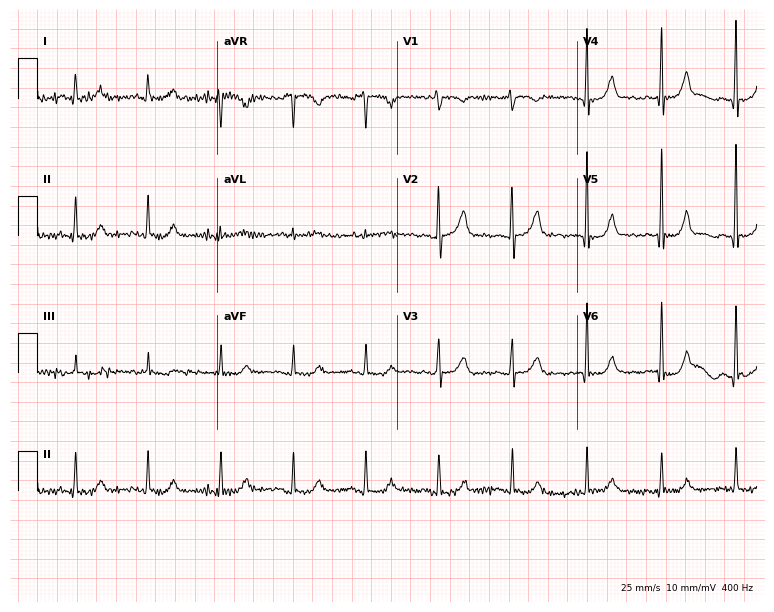
Electrocardiogram (7.3-second recording at 400 Hz), a female patient, 51 years old. Overall reading on record: normal ECG.